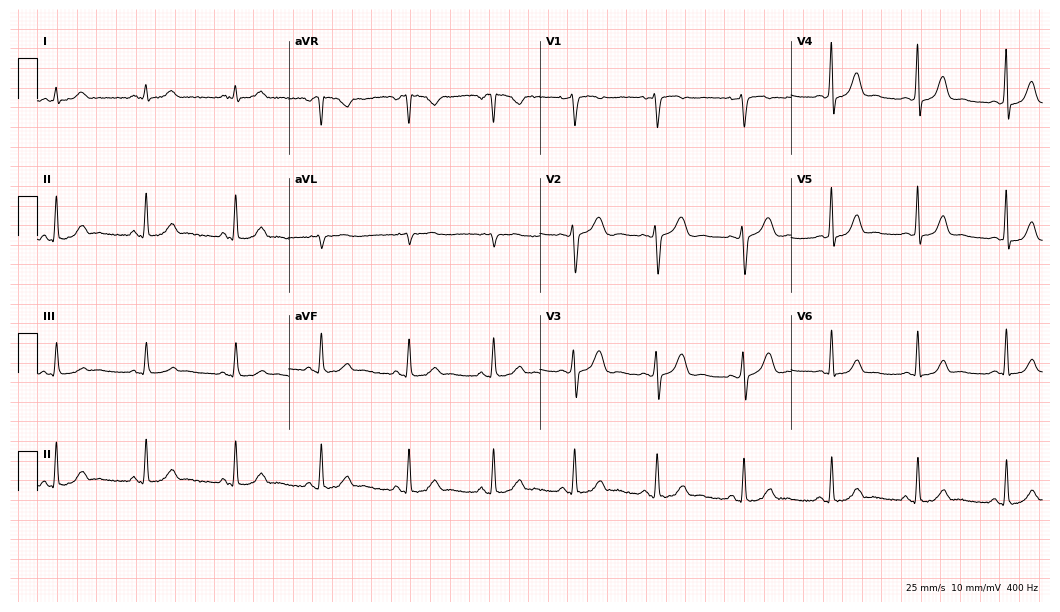
12-lead ECG from a 50-year-old woman. No first-degree AV block, right bundle branch block, left bundle branch block, sinus bradycardia, atrial fibrillation or sinus tachycardia recorded for this tracing. Other findings, if any, are not listed.